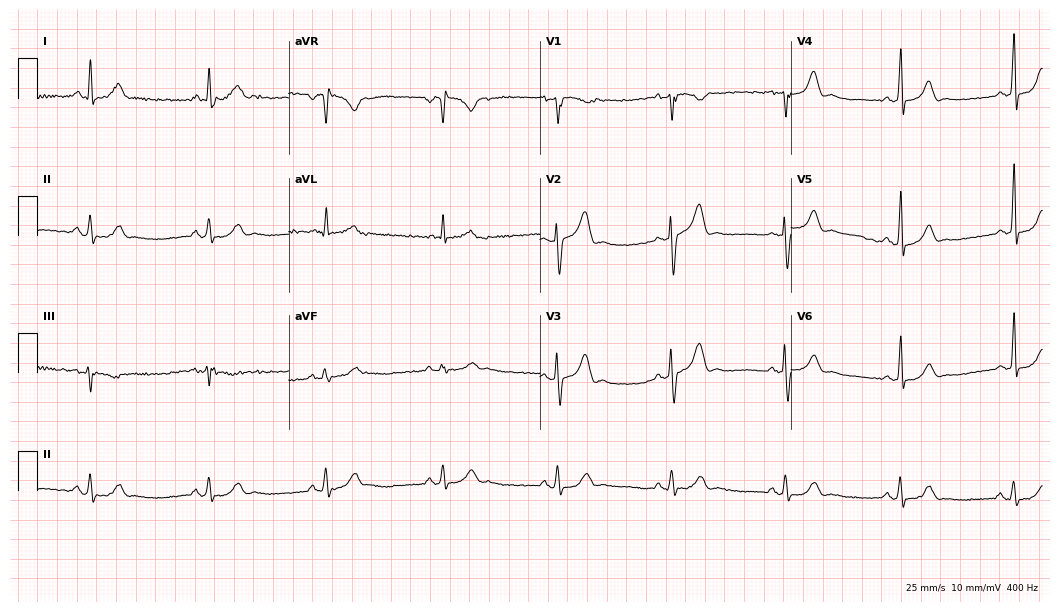
Electrocardiogram, a man, 40 years old. Overall reading on record: normal ECG.